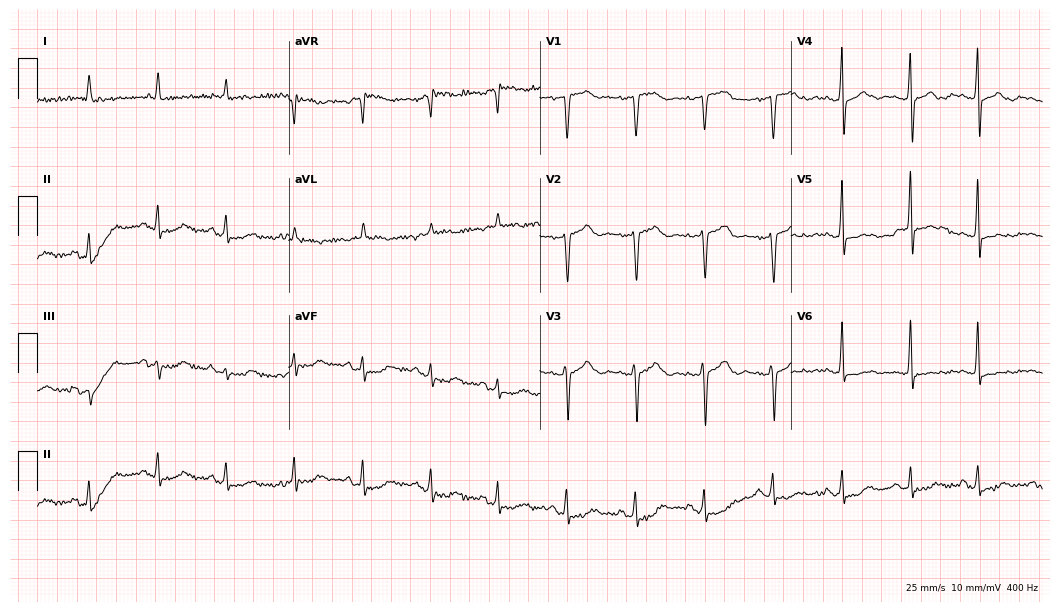
12-lead ECG from a 77-year-old female patient. Screened for six findings — first-degree AV block, right bundle branch block, left bundle branch block, sinus bradycardia, atrial fibrillation, sinus tachycardia — none is recorded.